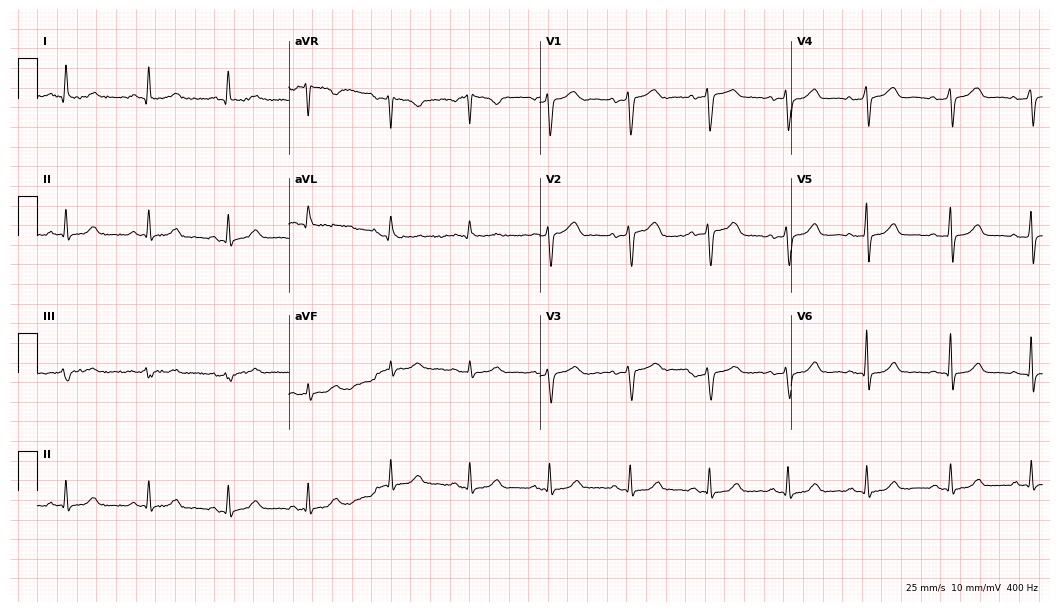
Electrocardiogram, a 59-year-old woman. Overall reading on record: normal ECG.